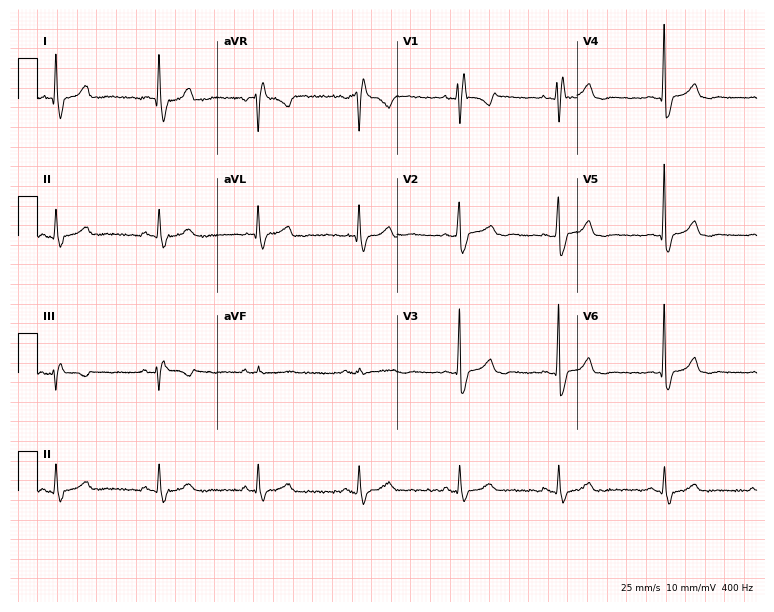
Electrocardiogram (7.3-second recording at 400 Hz), a 39-year-old woman. Interpretation includes right bundle branch block.